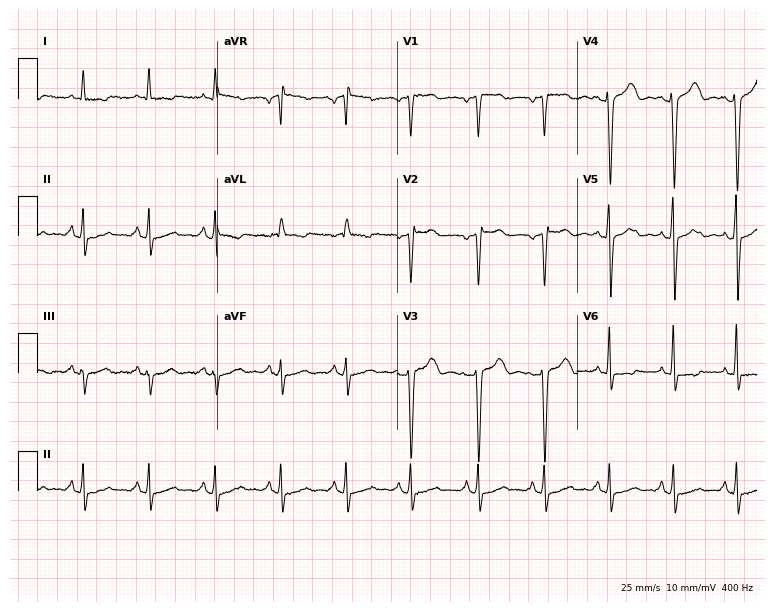
12-lead ECG from a female patient, 38 years old. Screened for six findings — first-degree AV block, right bundle branch block, left bundle branch block, sinus bradycardia, atrial fibrillation, sinus tachycardia — none is recorded.